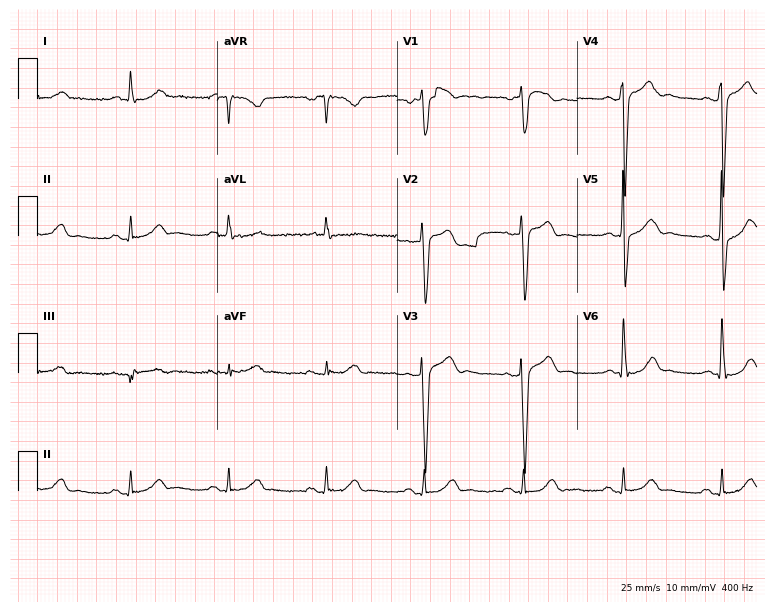
Resting 12-lead electrocardiogram. Patient: a male, 59 years old. Read as a normal ECG.